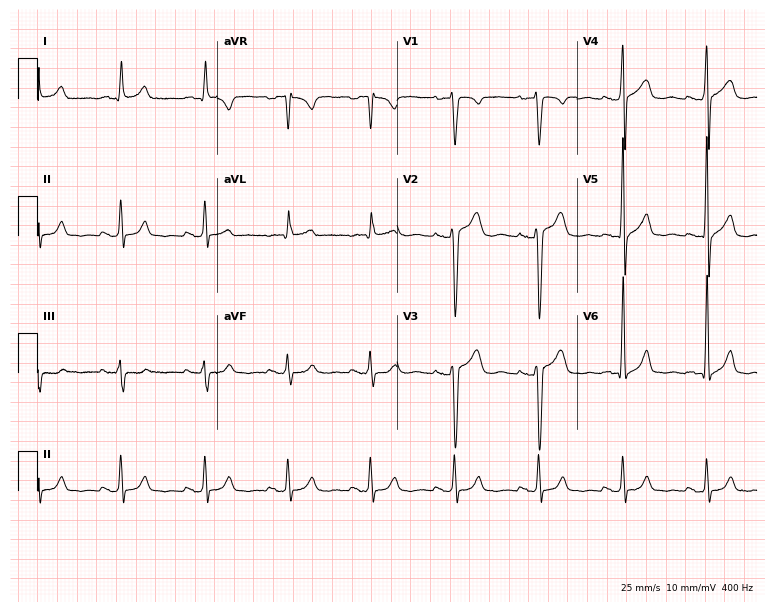
Electrocardiogram (7.3-second recording at 400 Hz), a 37-year-old male patient. Of the six screened findings (first-degree AV block, right bundle branch block, left bundle branch block, sinus bradycardia, atrial fibrillation, sinus tachycardia), none is recorded.